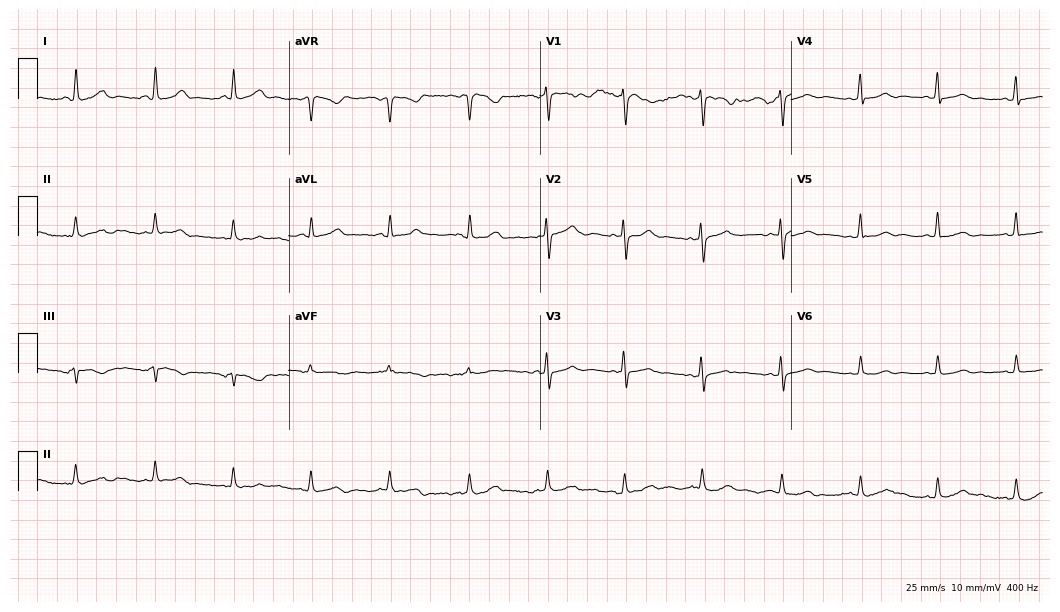
Electrocardiogram (10.2-second recording at 400 Hz), a woman, 43 years old. Overall reading on record: normal ECG.